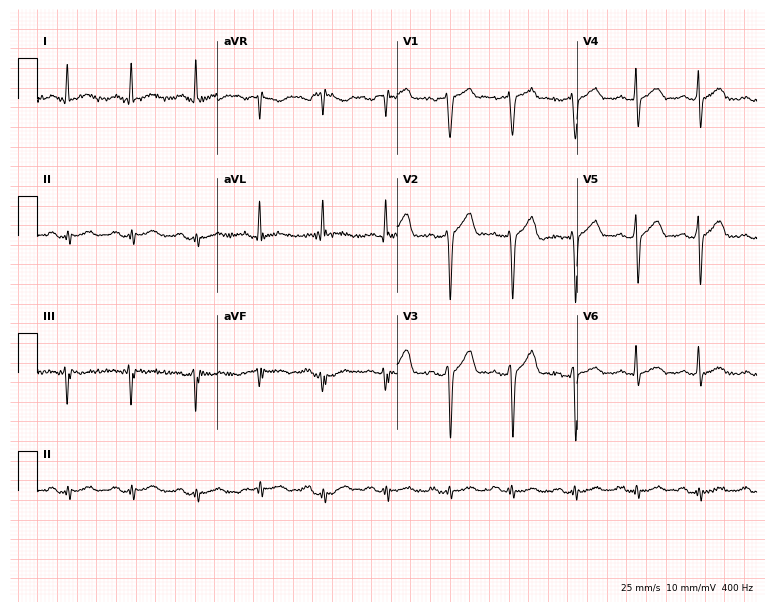
12-lead ECG (7.3-second recording at 400 Hz) from a 49-year-old male patient. Screened for six findings — first-degree AV block, right bundle branch block, left bundle branch block, sinus bradycardia, atrial fibrillation, sinus tachycardia — none is recorded.